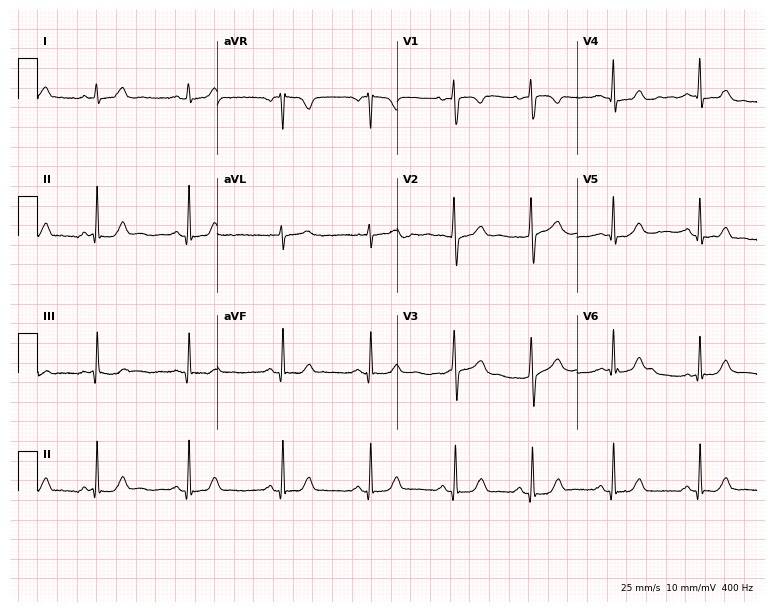
Electrocardiogram (7.3-second recording at 400 Hz), a 31-year-old woman. Of the six screened findings (first-degree AV block, right bundle branch block, left bundle branch block, sinus bradycardia, atrial fibrillation, sinus tachycardia), none is recorded. Other findings, if any, are not listed.